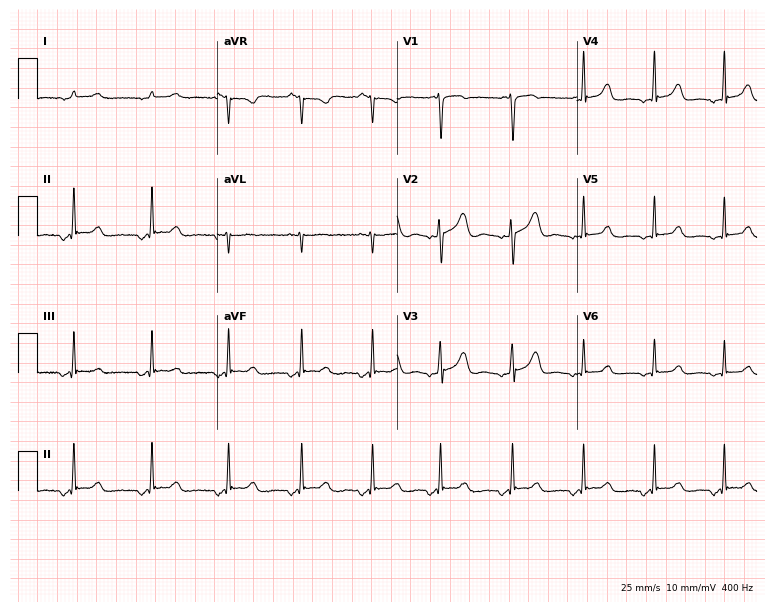
ECG — a female patient, 34 years old. Screened for six findings — first-degree AV block, right bundle branch block (RBBB), left bundle branch block (LBBB), sinus bradycardia, atrial fibrillation (AF), sinus tachycardia — none is recorded. Findings outside these six are not listed.